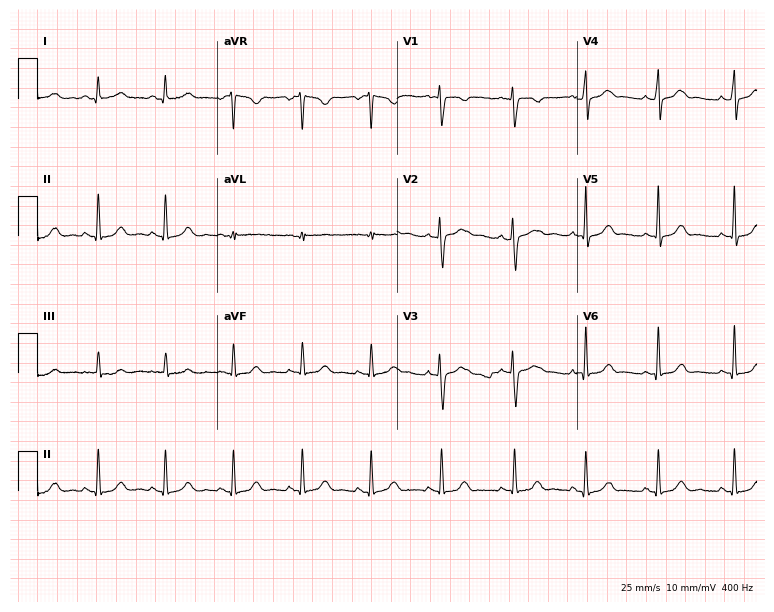
12-lead ECG from a 27-year-old female patient. Labelled as a normal ECG.